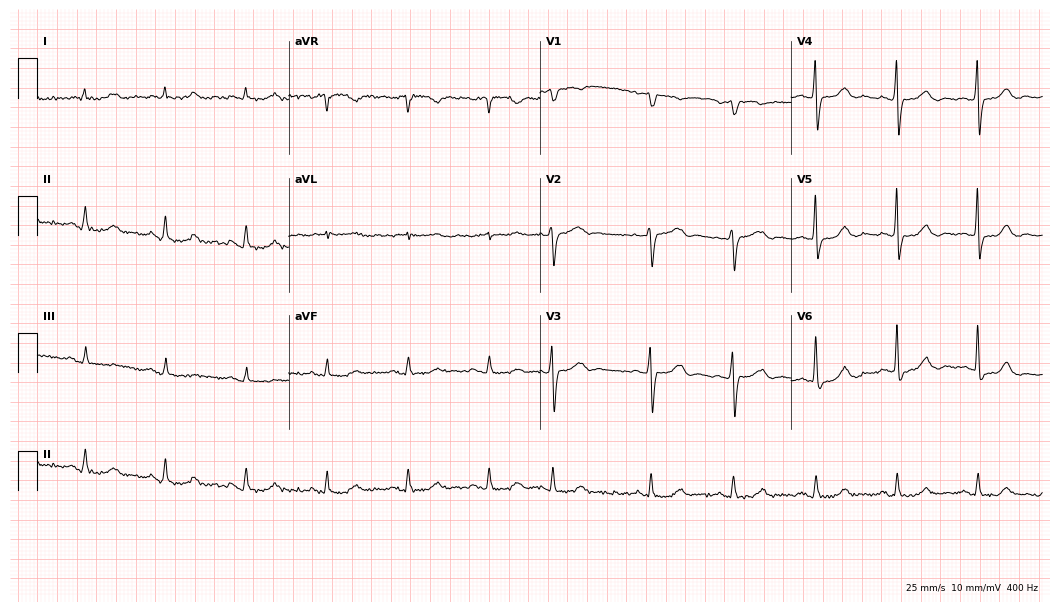
12-lead ECG from a man, 83 years old (10.2-second recording at 400 Hz). No first-degree AV block, right bundle branch block, left bundle branch block, sinus bradycardia, atrial fibrillation or sinus tachycardia recorded for this tracing.